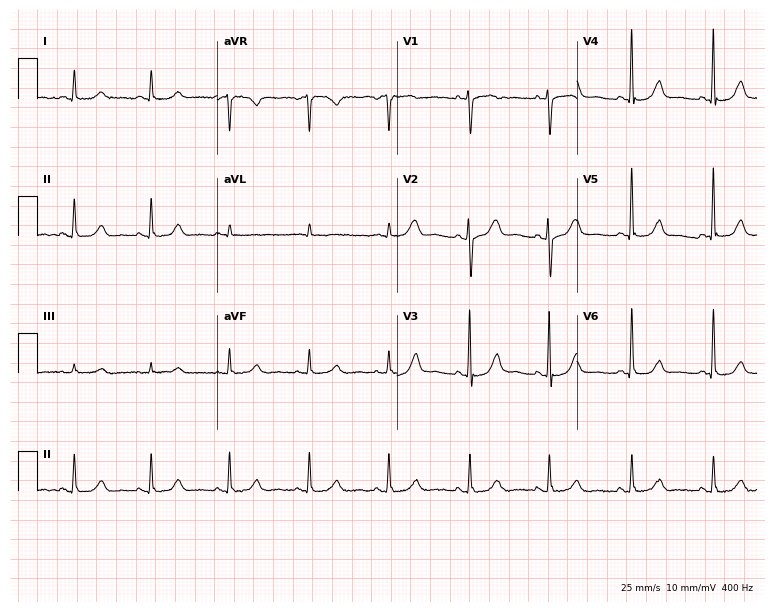
Resting 12-lead electrocardiogram. Patient: a female, 68 years old. None of these six findings is recorded: first-degree AV block, right bundle branch block, left bundle branch block, sinus bradycardia, atrial fibrillation, sinus tachycardia. Other findings, if any, are not listed.